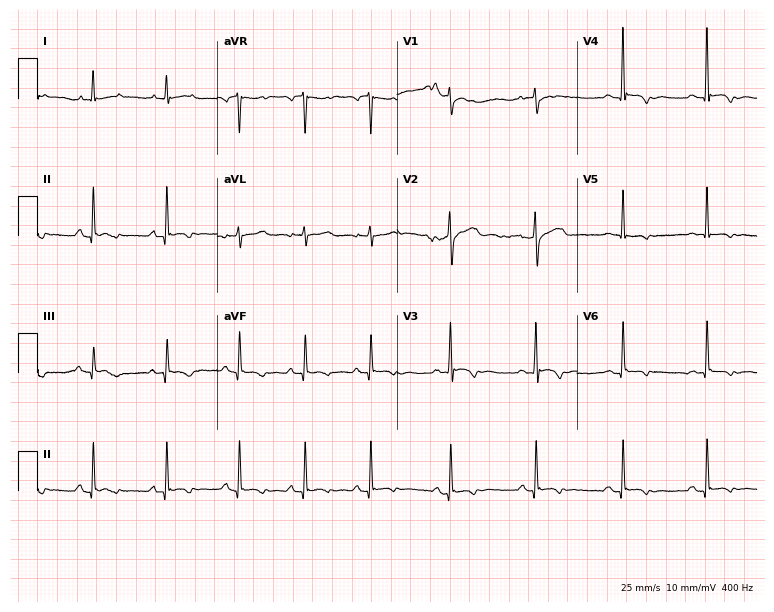
Resting 12-lead electrocardiogram. Patient: a male, 54 years old. None of these six findings is recorded: first-degree AV block, right bundle branch block, left bundle branch block, sinus bradycardia, atrial fibrillation, sinus tachycardia. Findings outside these six are not listed.